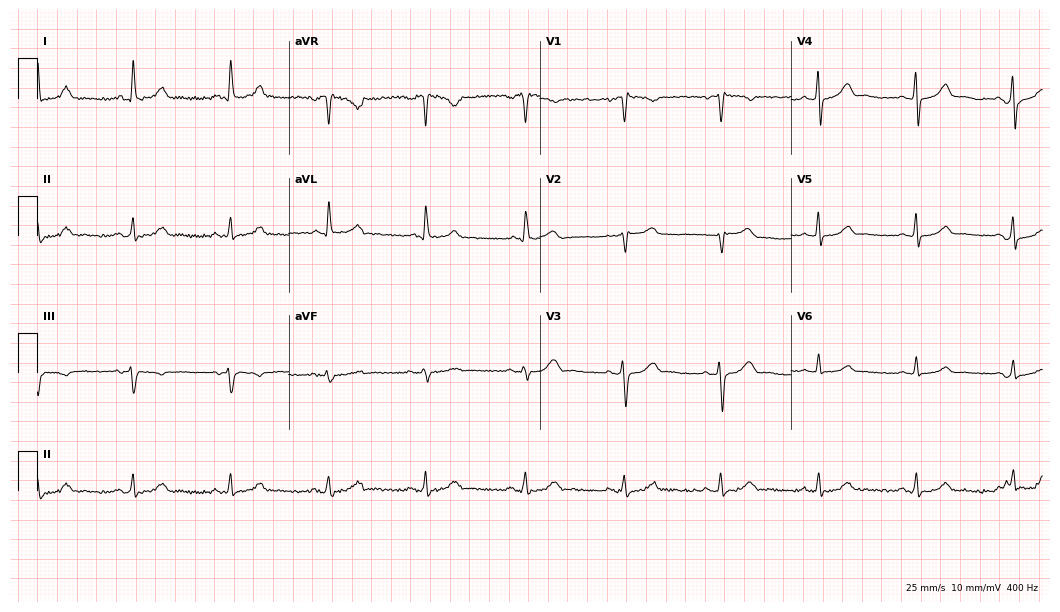
Electrocardiogram, a woman, 48 years old. Overall reading on record: normal ECG.